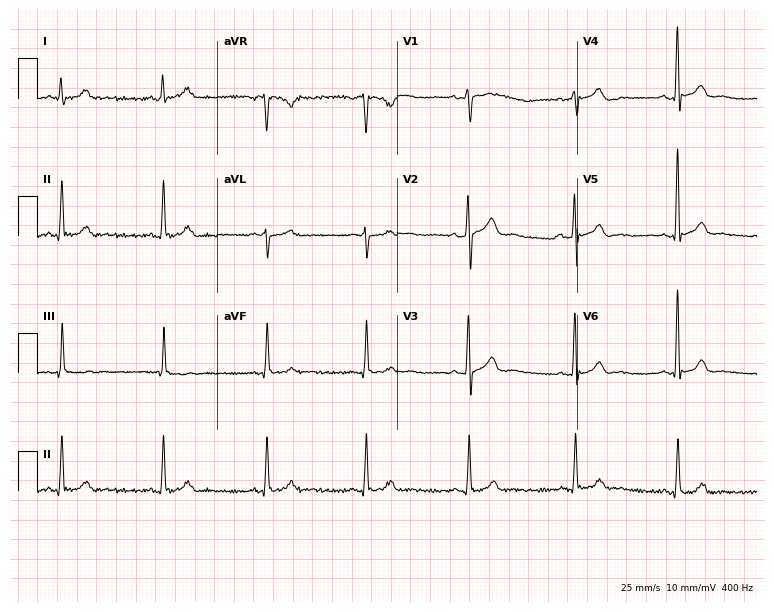
Electrocardiogram, a man, 33 years old. Overall reading on record: normal ECG.